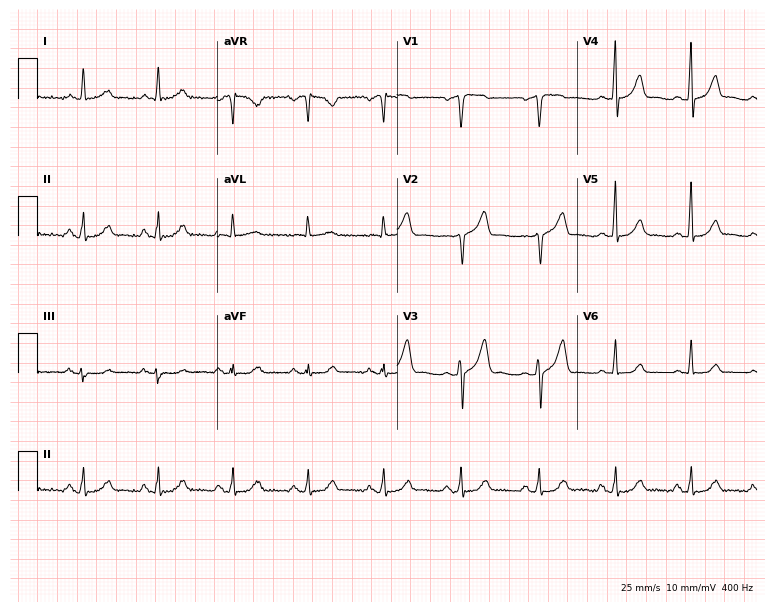
ECG (7.3-second recording at 400 Hz) — a male, 50 years old. Labelled as a normal ECG.